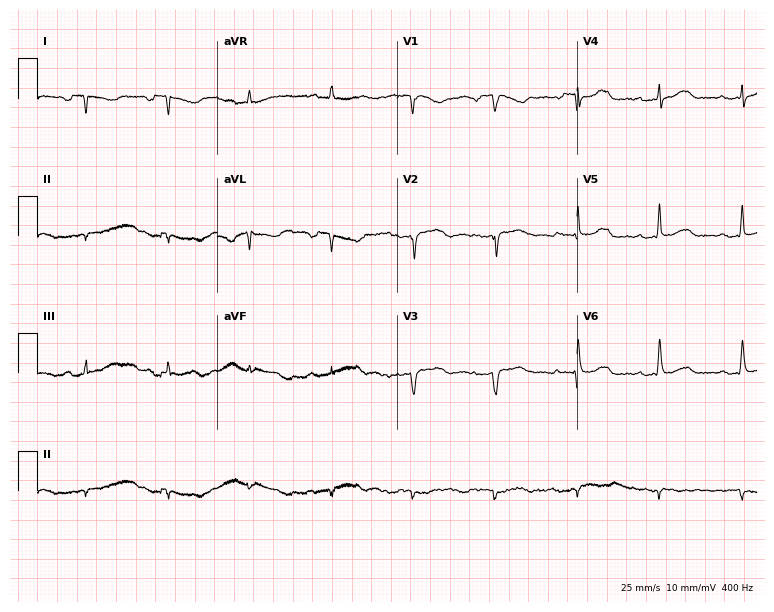
Resting 12-lead electrocardiogram. Patient: a female, 84 years old. None of these six findings is recorded: first-degree AV block, right bundle branch block, left bundle branch block, sinus bradycardia, atrial fibrillation, sinus tachycardia.